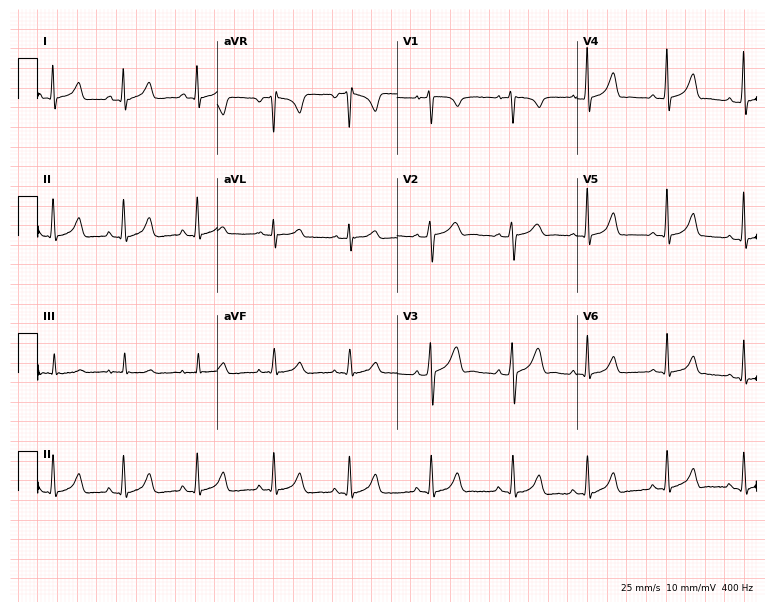
12-lead ECG from a female patient, 22 years old (7.3-second recording at 400 Hz). No first-degree AV block, right bundle branch block (RBBB), left bundle branch block (LBBB), sinus bradycardia, atrial fibrillation (AF) or sinus tachycardia recorded for this tracing. Only these six findings were labelled.